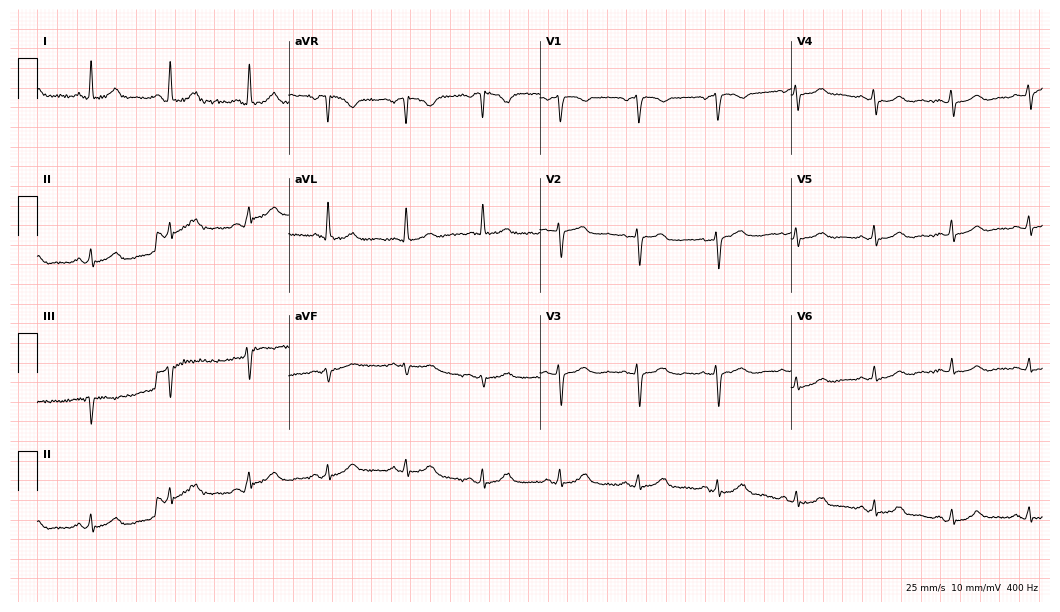
Standard 12-lead ECG recorded from a 65-year-old woman (10.2-second recording at 400 Hz). Read as a normal ECG.